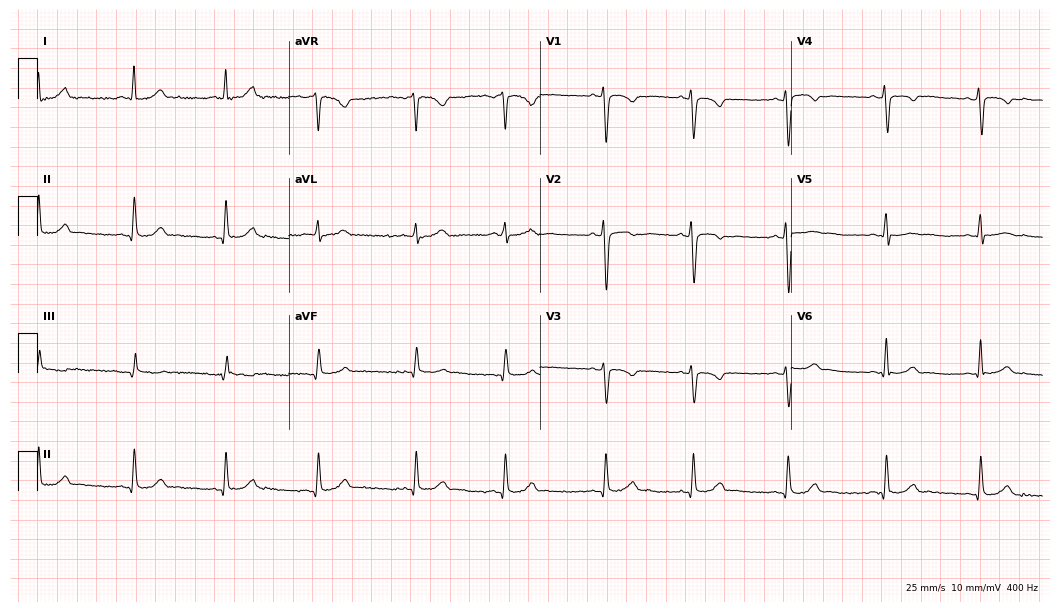
12-lead ECG from a female patient, 30 years old (10.2-second recording at 400 Hz). Recorded interpretation: within normal limits.